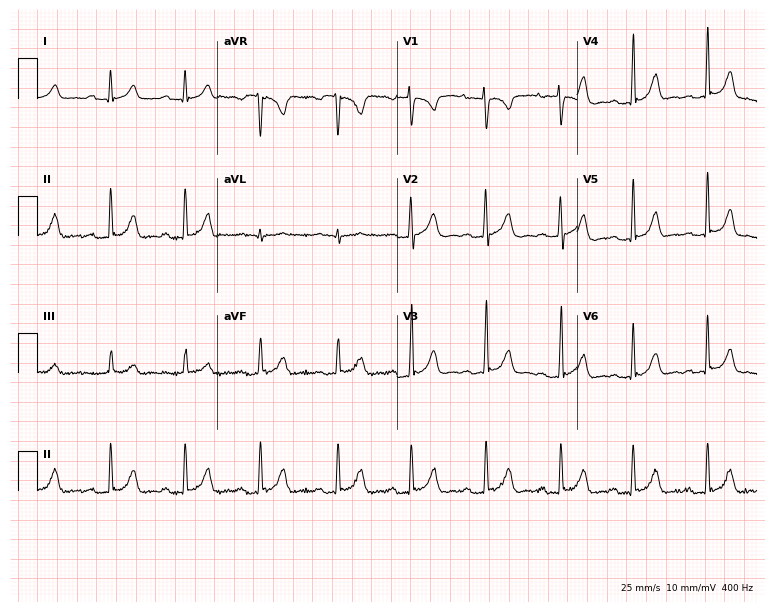
ECG — a 19-year-old female. Screened for six findings — first-degree AV block, right bundle branch block, left bundle branch block, sinus bradycardia, atrial fibrillation, sinus tachycardia — none is recorded.